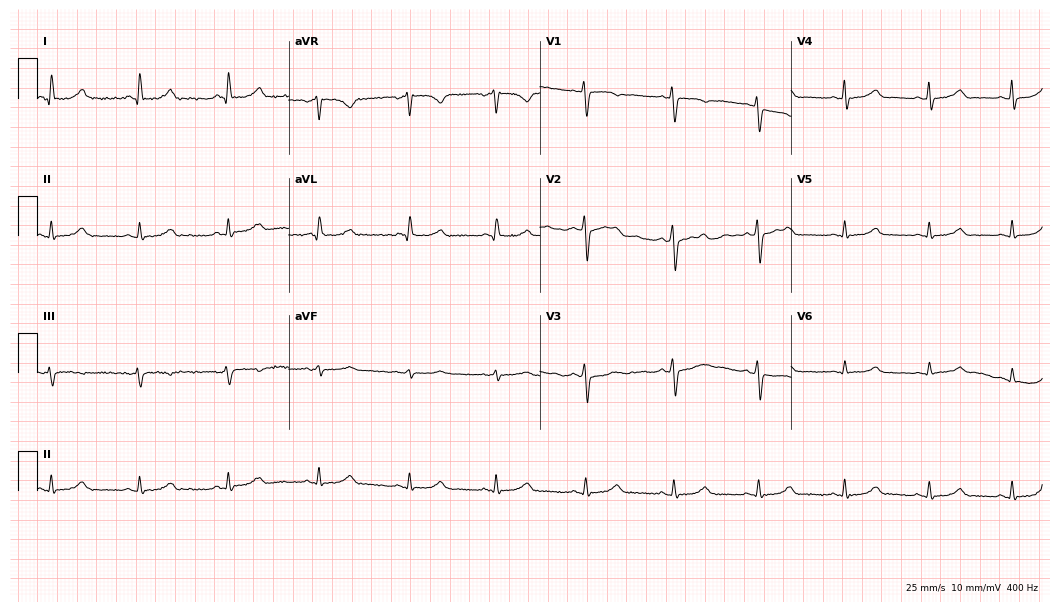
Standard 12-lead ECG recorded from a female, 45 years old (10.2-second recording at 400 Hz). None of these six findings is recorded: first-degree AV block, right bundle branch block (RBBB), left bundle branch block (LBBB), sinus bradycardia, atrial fibrillation (AF), sinus tachycardia. Other findings, if any, are not listed.